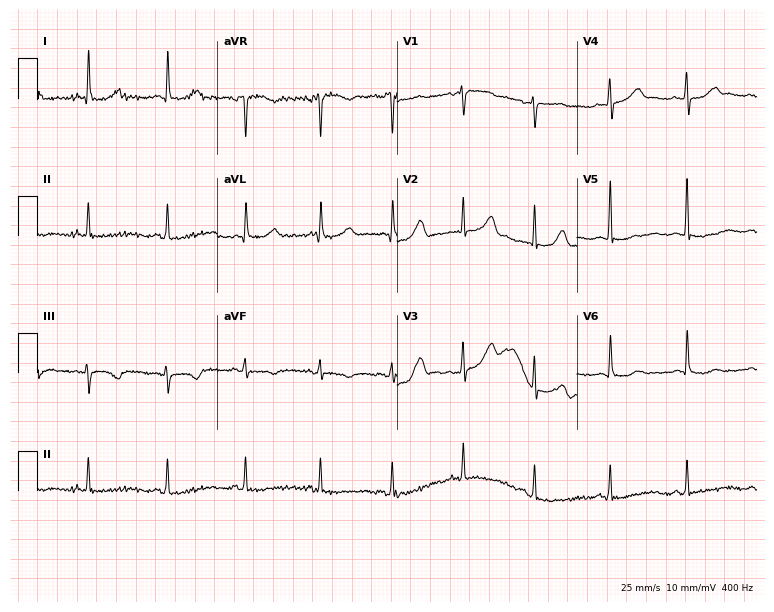
Standard 12-lead ECG recorded from a 76-year-old female patient (7.3-second recording at 400 Hz). Read as a normal ECG.